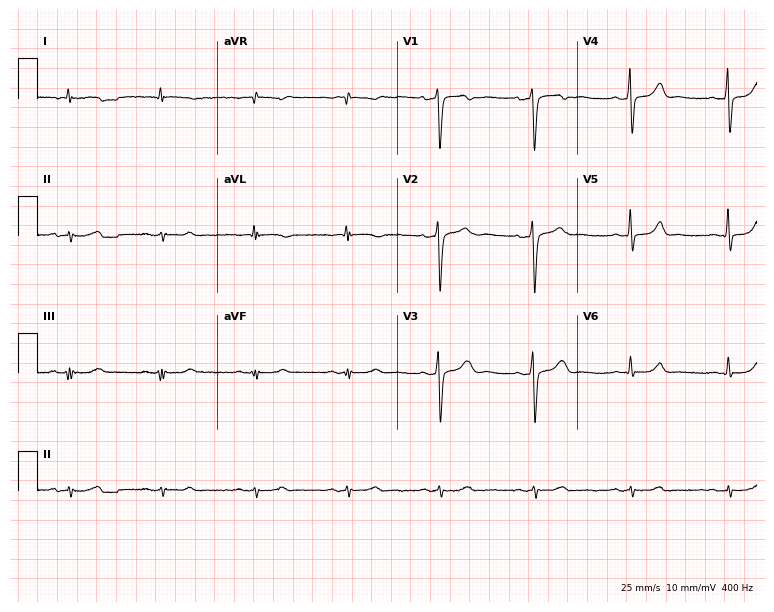
Electrocardiogram (7.3-second recording at 400 Hz), a 48-year-old woman. Of the six screened findings (first-degree AV block, right bundle branch block, left bundle branch block, sinus bradycardia, atrial fibrillation, sinus tachycardia), none is recorded.